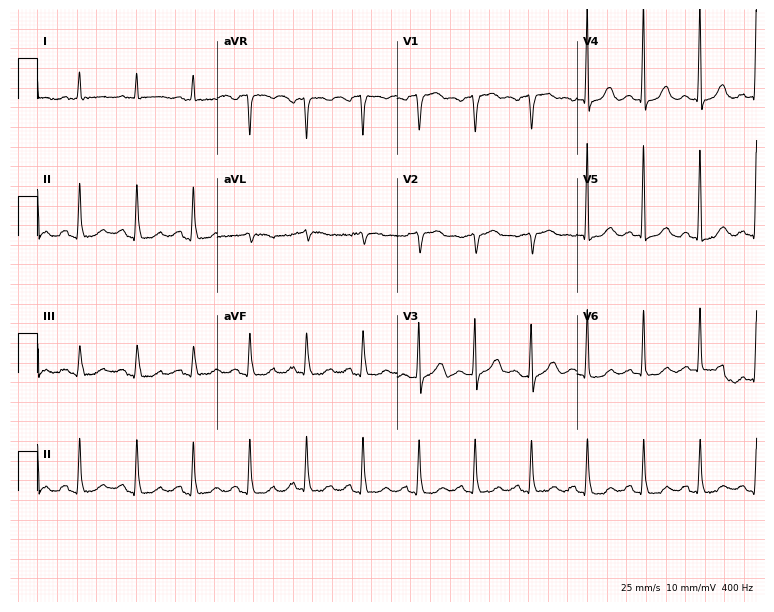
Resting 12-lead electrocardiogram (7.3-second recording at 400 Hz). Patient: a 75-year-old female. None of these six findings is recorded: first-degree AV block, right bundle branch block, left bundle branch block, sinus bradycardia, atrial fibrillation, sinus tachycardia.